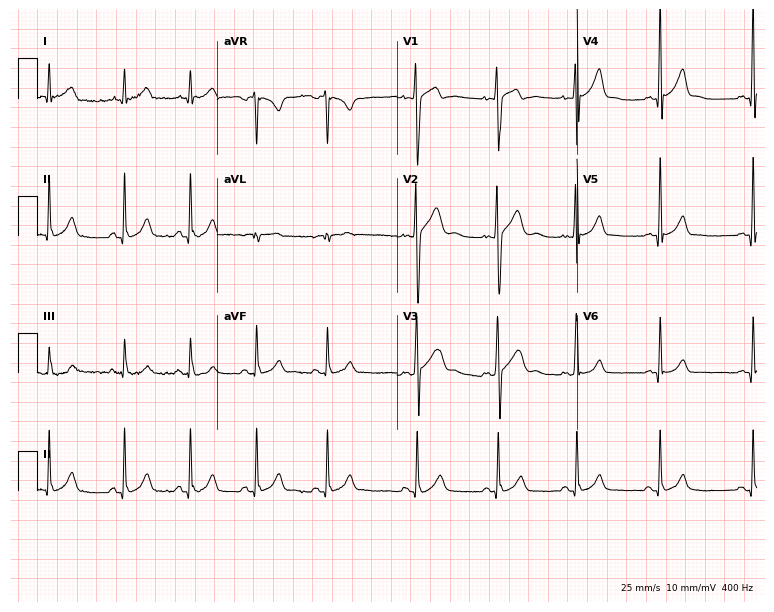
12-lead ECG (7.3-second recording at 400 Hz) from a 20-year-old male. Labelled as a normal ECG.